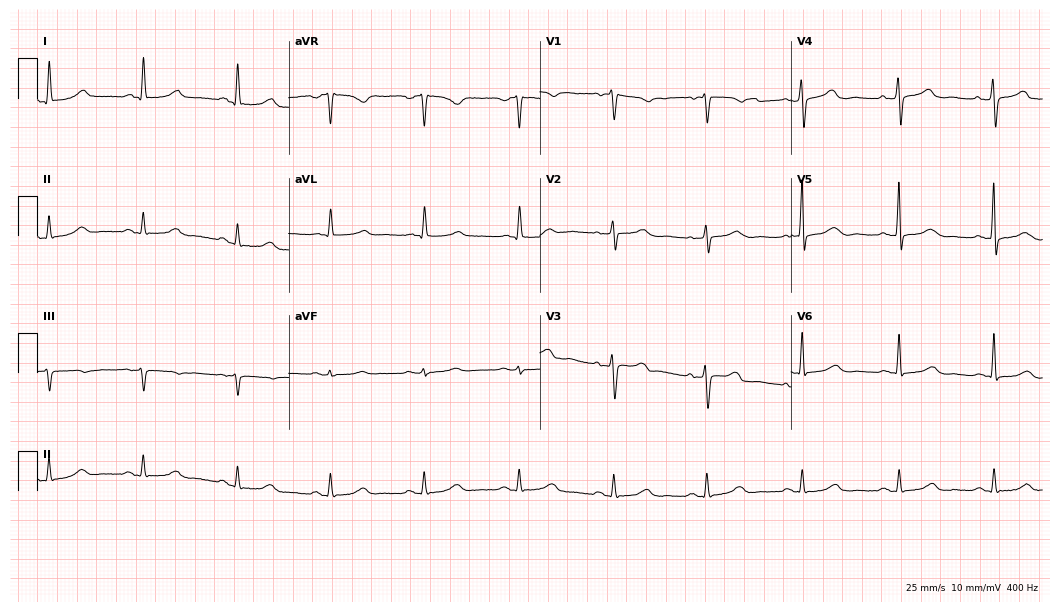
Electrocardiogram (10.2-second recording at 400 Hz), a female patient, 63 years old. Of the six screened findings (first-degree AV block, right bundle branch block, left bundle branch block, sinus bradycardia, atrial fibrillation, sinus tachycardia), none is recorded.